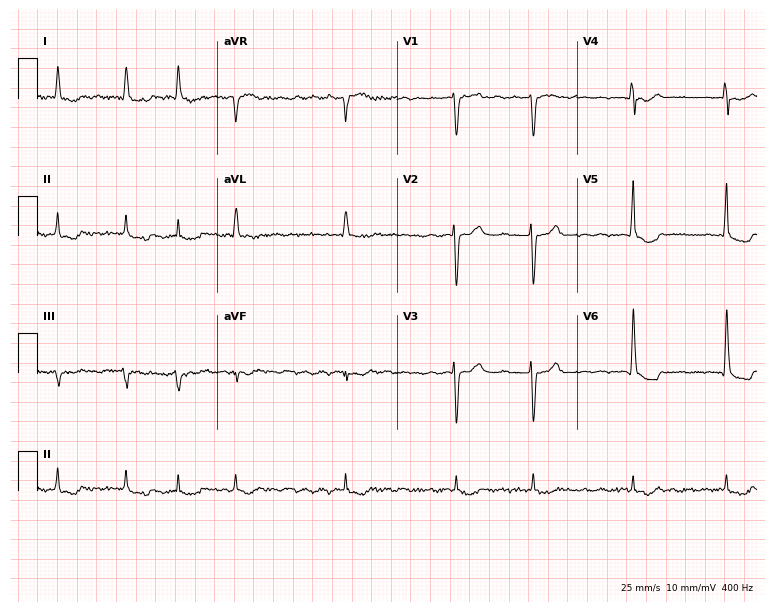
Electrocardiogram (7.3-second recording at 400 Hz), a 71-year-old man. Of the six screened findings (first-degree AV block, right bundle branch block (RBBB), left bundle branch block (LBBB), sinus bradycardia, atrial fibrillation (AF), sinus tachycardia), none is recorded.